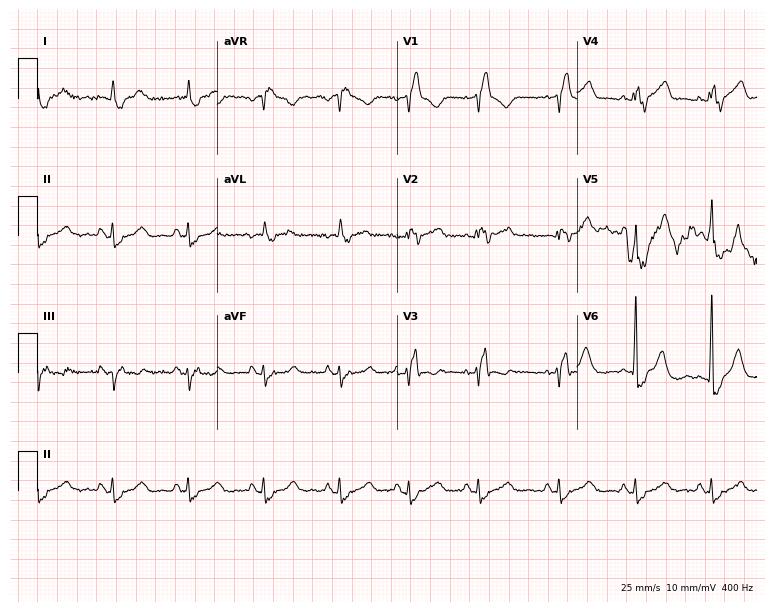
12-lead ECG (7.3-second recording at 400 Hz) from a 72-year-old male patient. Findings include right bundle branch block.